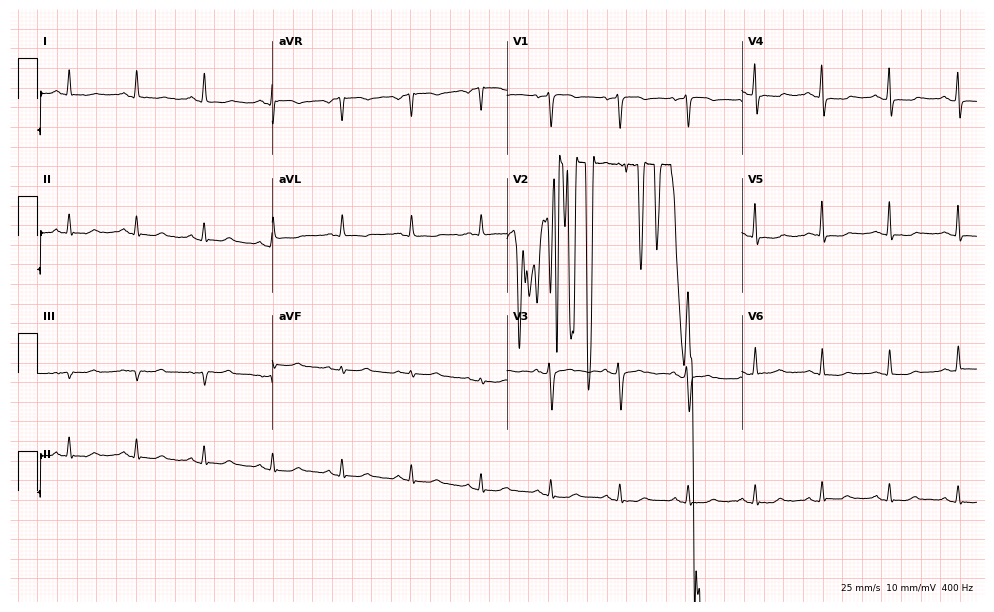
12-lead ECG from a female, 51 years old. Screened for six findings — first-degree AV block, right bundle branch block, left bundle branch block, sinus bradycardia, atrial fibrillation, sinus tachycardia — none is recorded. Findings outside these six are not listed.